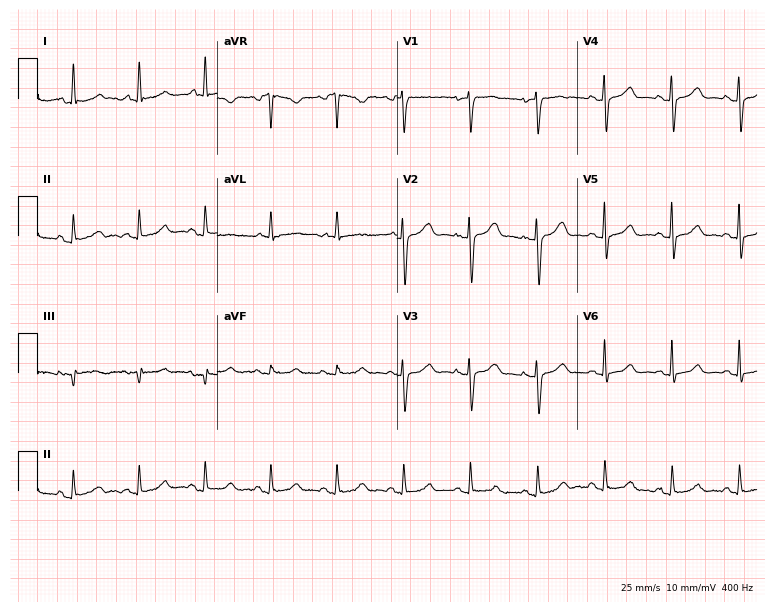
12-lead ECG from a woman, 65 years old. Recorded interpretation: within normal limits.